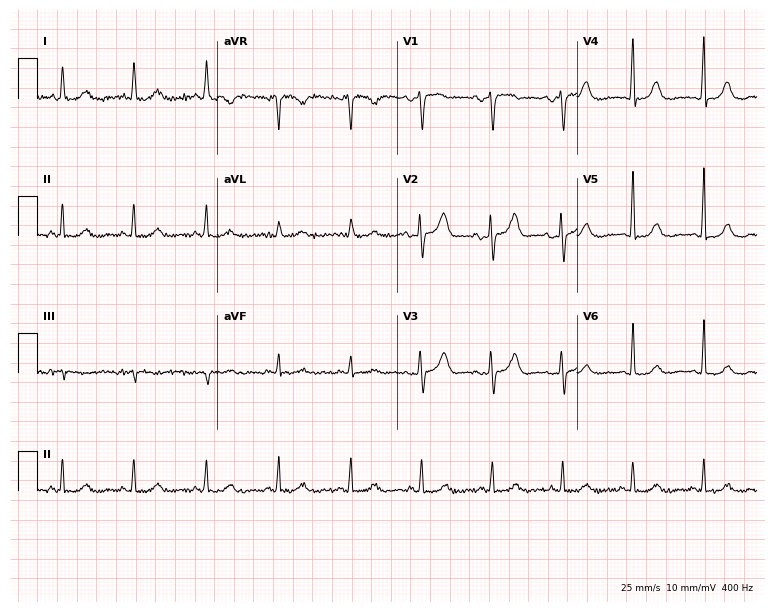
12-lead ECG from a woman, 76 years old (7.3-second recording at 400 Hz). Recorded interpretation: within normal limits.